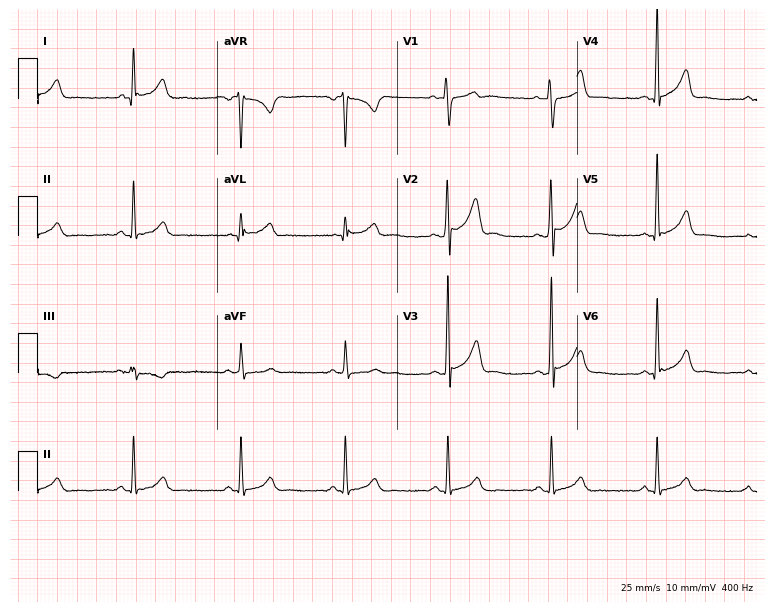
12-lead ECG (7.3-second recording at 400 Hz) from a 44-year-old man. Labelled as a normal ECG.